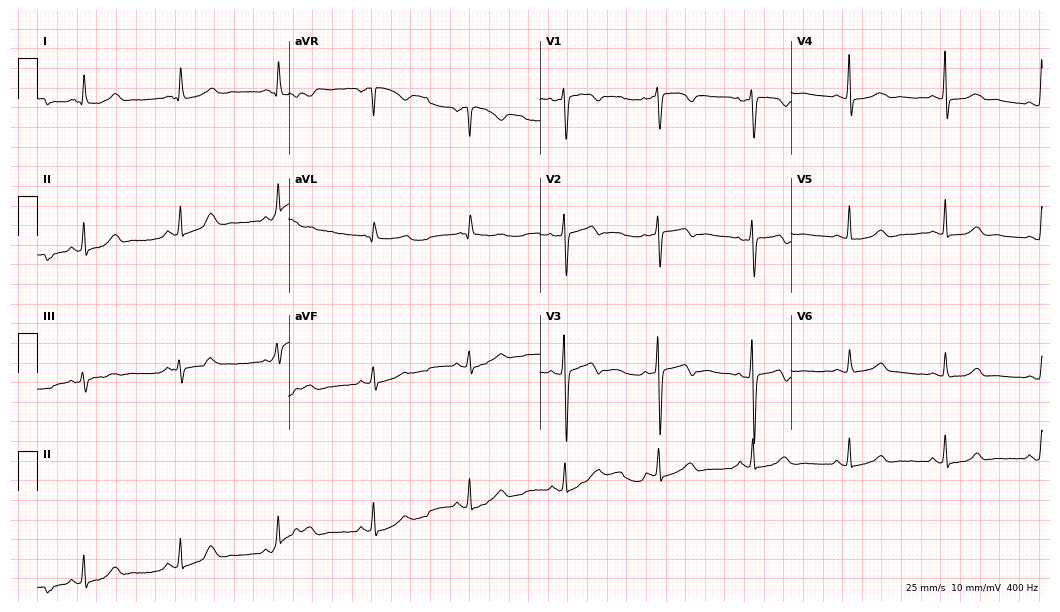
Resting 12-lead electrocardiogram (10.2-second recording at 400 Hz). Patient: a 49-year-old woman. Read as a normal ECG.